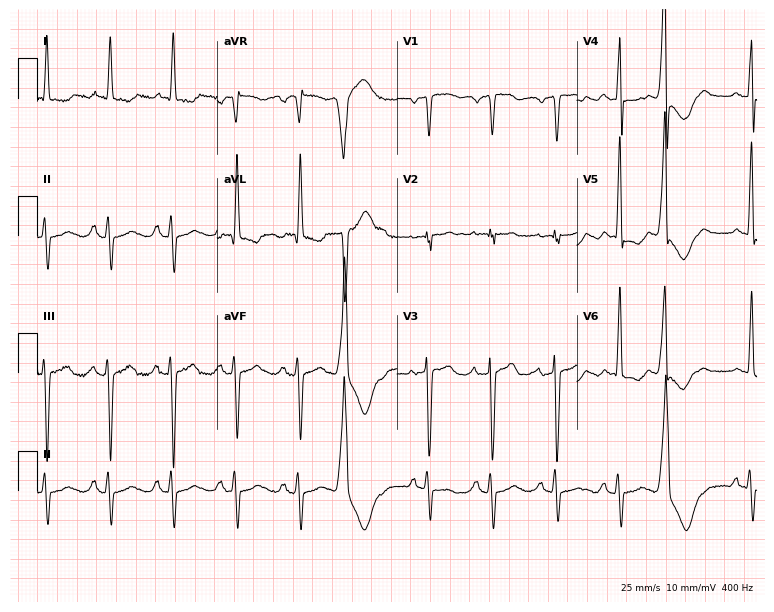
12-lead ECG from a 64-year-old woman. No first-degree AV block, right bundle branch block, left bundle branch block, sinus bradycardia, atrial fibrillation or sinus tachycardia recorded for this tracing.